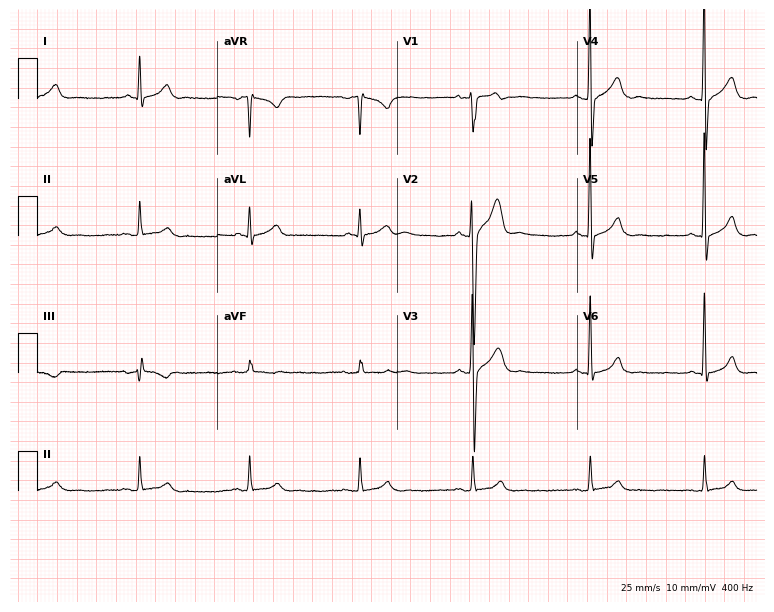
12-lead ECG from a 28-year-old man (7.3-second recording at 400 Hz). Recorded interpretation: within normal limits.